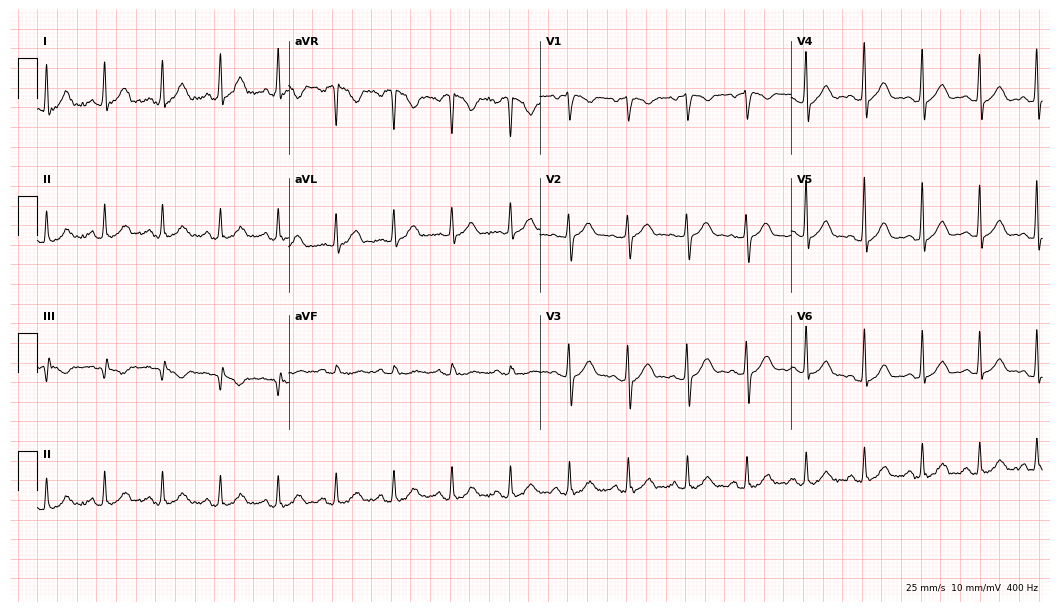
Resting 12-lead electrocardiogram. Patient: a female, 47 years old. None of these six findings is recorded: first-degree AV block, right bundle branch block, left bundle branch block, sinus bradycardia, atrial fibrillation, sinus tachycardia. Other findings, if any, are not listed.